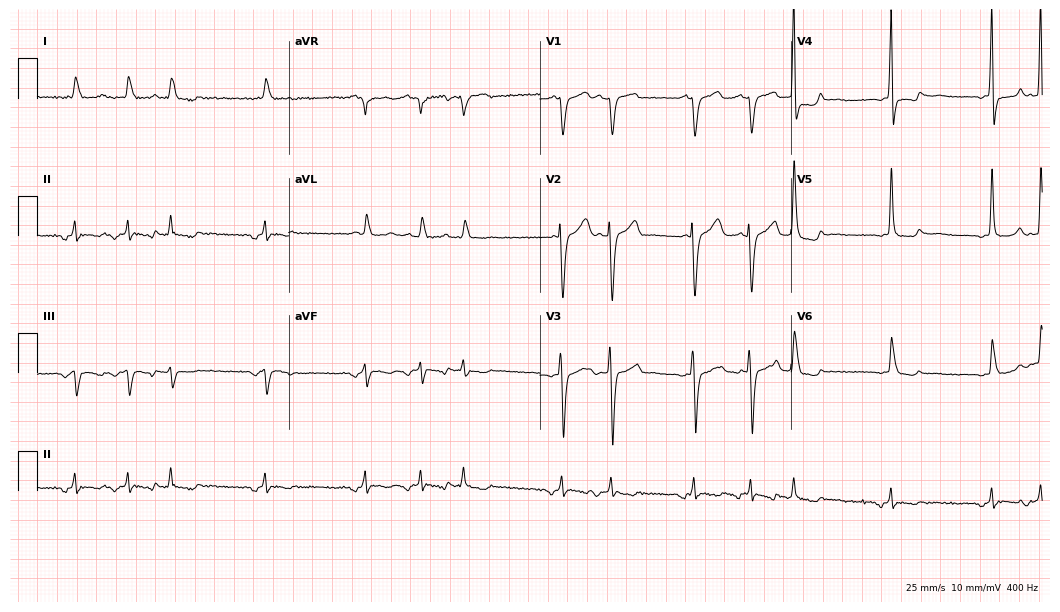
ECG — a man, 76 years old. Screened for six findings — first-degree AV block, right bundle branch block, left bundle branch block, sinus bradycardia, atrial fibrillation, sinus tachycardia — none is recorded.